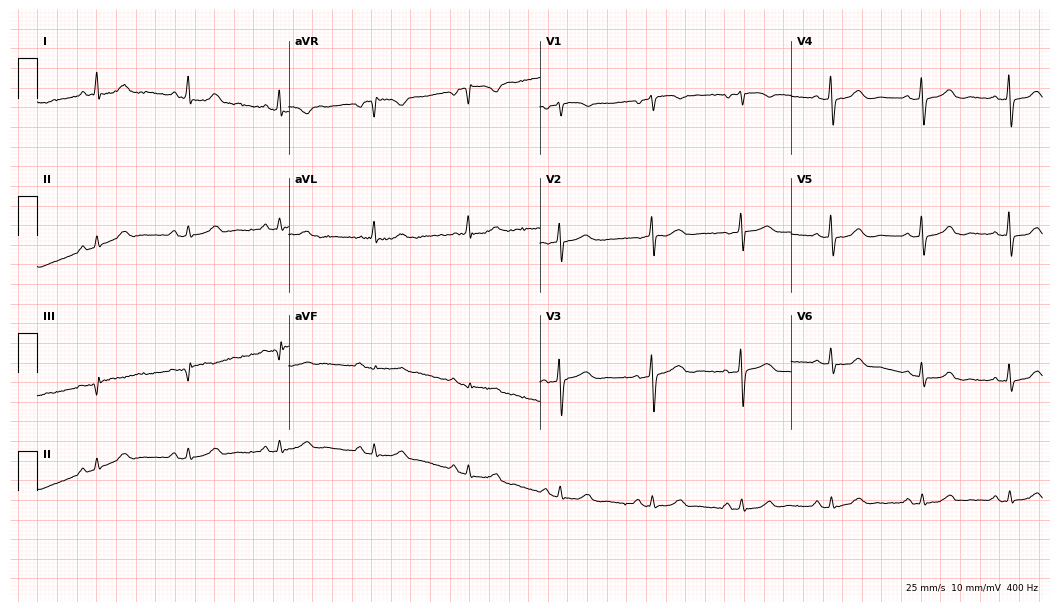
Resting 12-lead electrocardiogram (10.2-second recording at 400 Hz). Patient: a 70-year-old female. Read as a normal ECG.